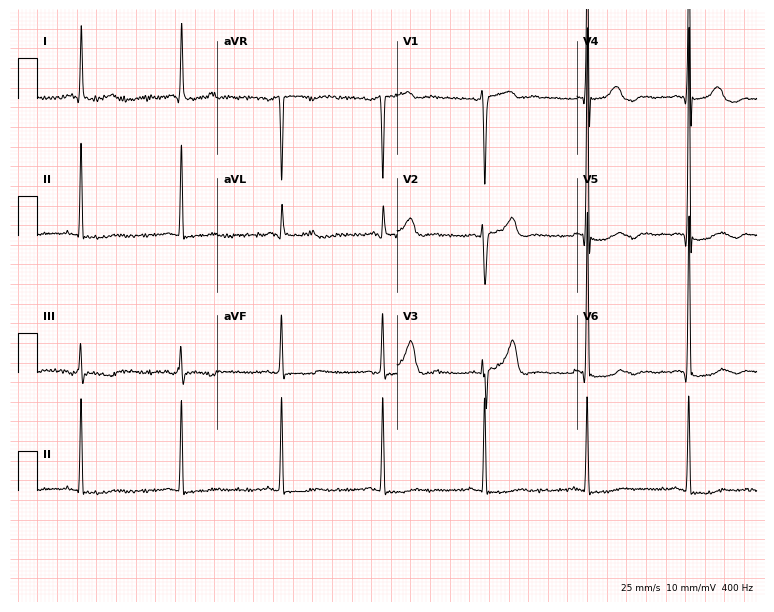
12-lead ECG (7.3-second recording at 400 Hz) from a 61-year-old male. Screened for six findings — first-degree AV block, right bundle branch block, left bundle branch block, sinus bradycardia, atrial fibrillation, sinus tachycardia — none is recorded.